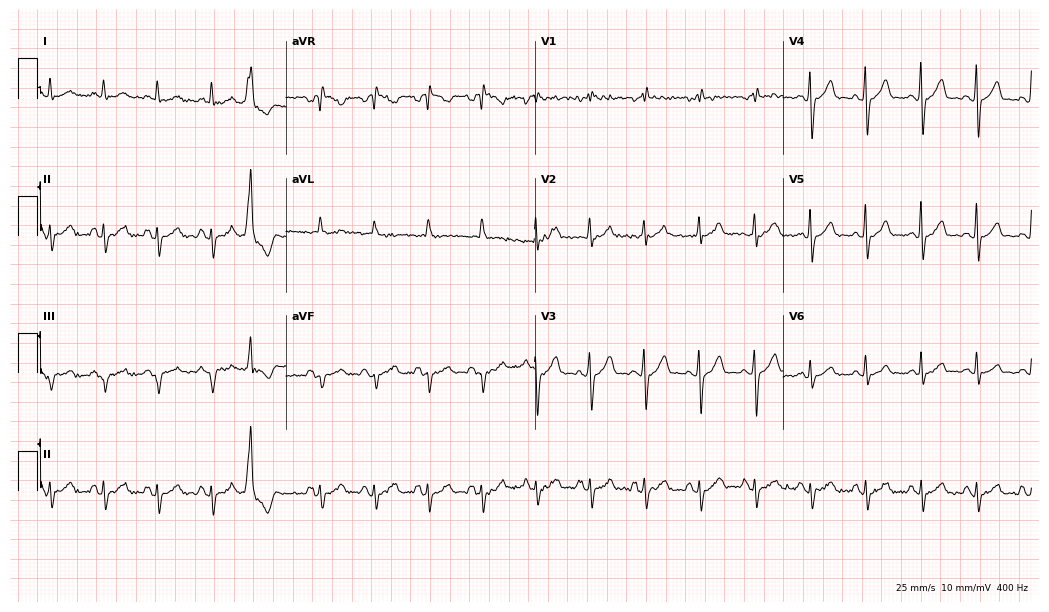
Resting 12-lead electrocardiogram (10.1-second recording at 400 Hz). Patient: a 53-year-old woman. The tracing shows sinus tachycardia (a sinus rate of 100 beats per minute or more).